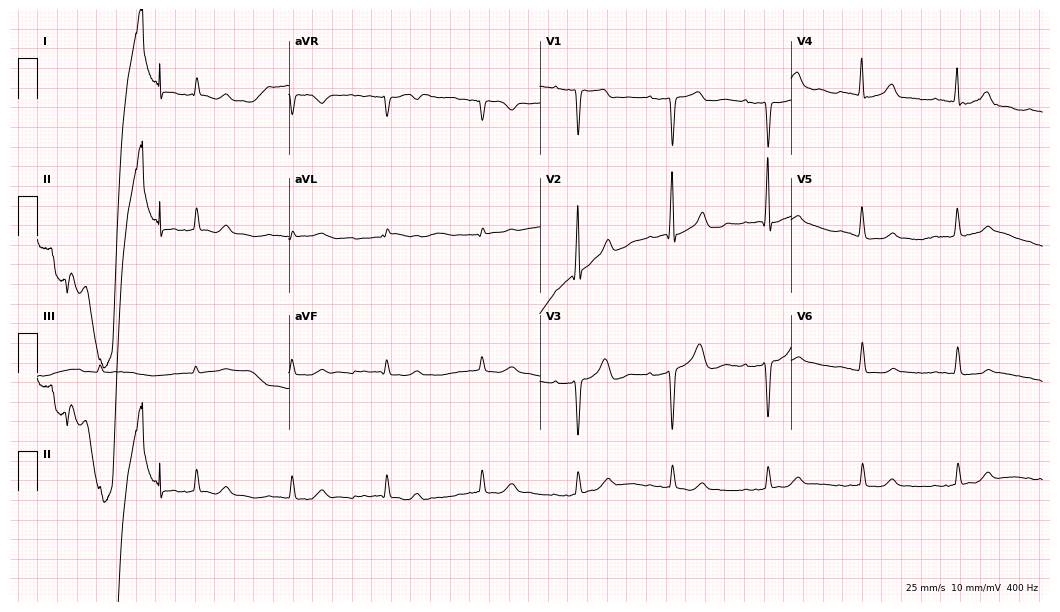
Standard 12-lead ECG recorded from an 83-year-old man (10.2-second recording at 400 Hz). None of these six findings is recorded: first-degree AV block, right bundle branch block (RBBB), left bundle branch block (LBBB), sinus bradycardia, atrial fibrillation (AF), sinus tachycardia.